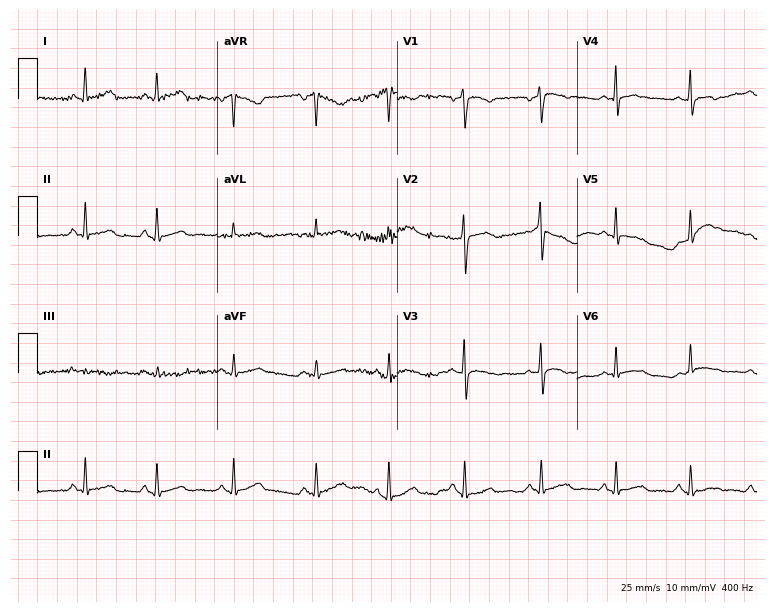
ECG — a woman, 58 years old. Labelled as a normal ECG.